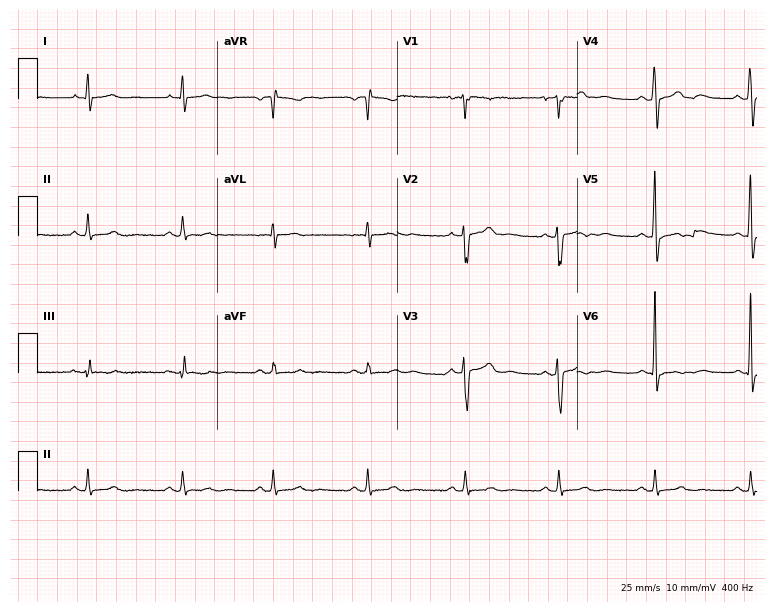
ECG — a man, 28 years old. Screened for six findings — first-degree AV block, right bundle branch block, left bundle branch block, sinus bradycardia, atrial fibrillation, sinus tachycardia — none is recorded.